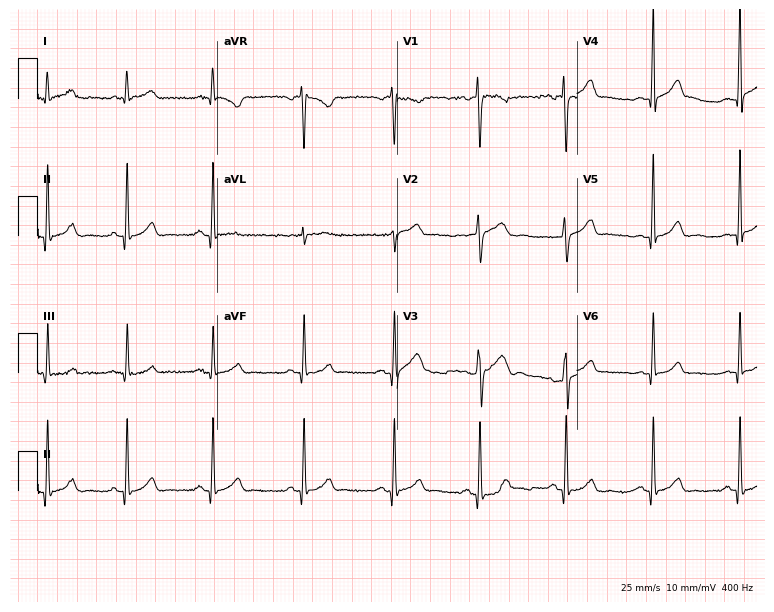
Resting 12-lead electrocardiogram (7.3-second recording at 400 Hz). Patient: a female, 44 years old. Read as a normal ECG.